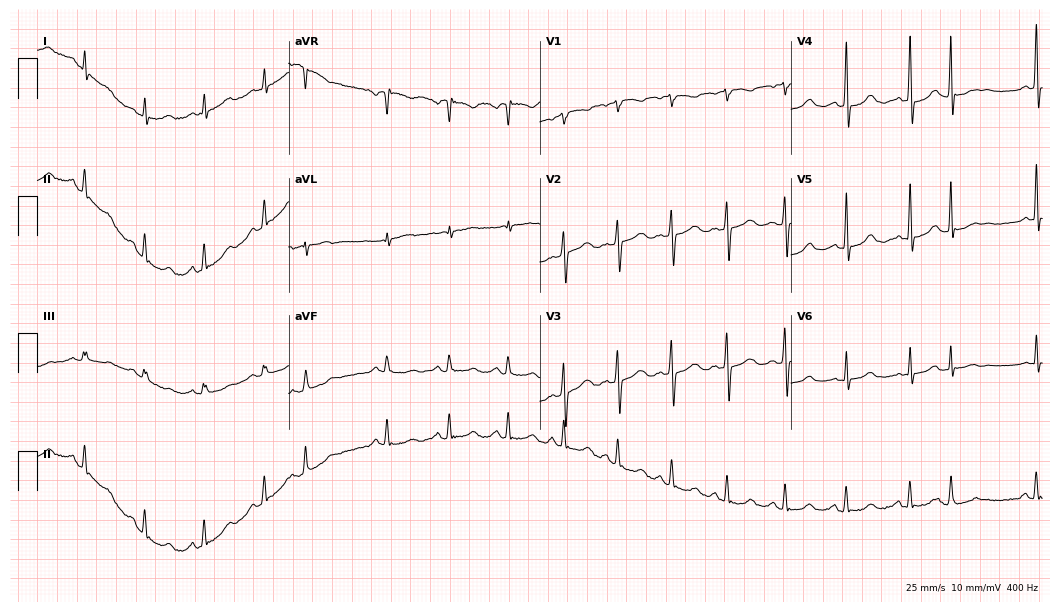
Standard 12-lead ECG recorded from a 53-year-old female. None of these six findings is recorded: first-degree AV block, right bundle branch block, left bundle branch block, sinus bradycardia, atrial fibrillation, sinus tachycardia.